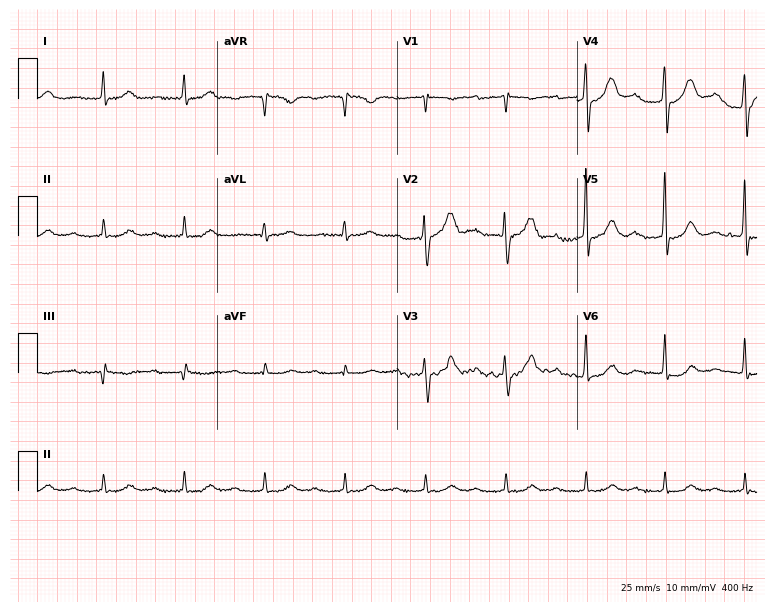
Electrocardiogram (7.3-second recording at 400 Hz), a man, 81 years old. Interpretation includes first-degree AV block.